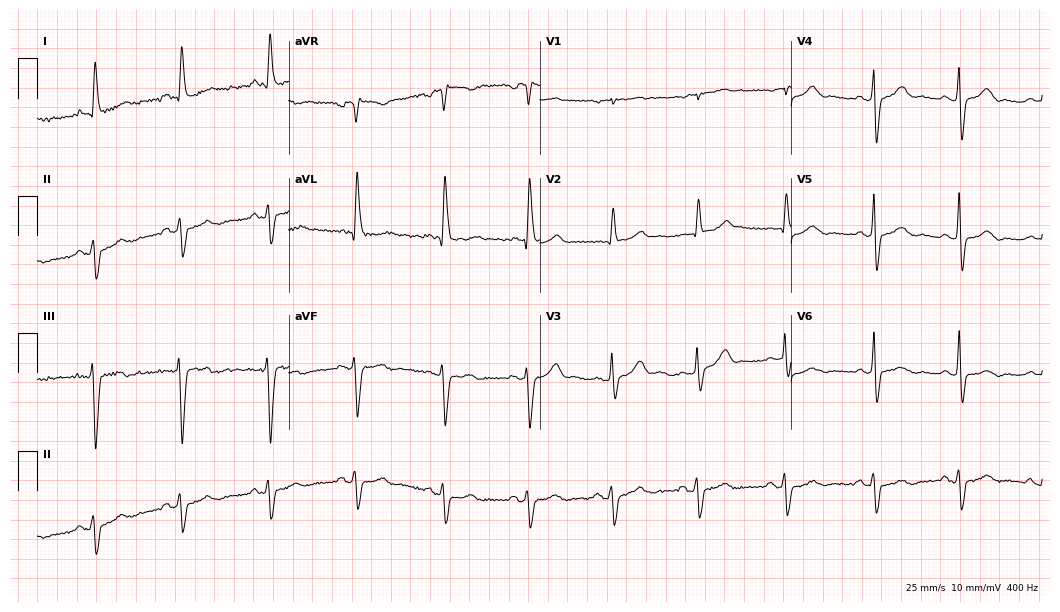
12-lead ECG from a woman, 81 years old. Shows left bundle branch block.